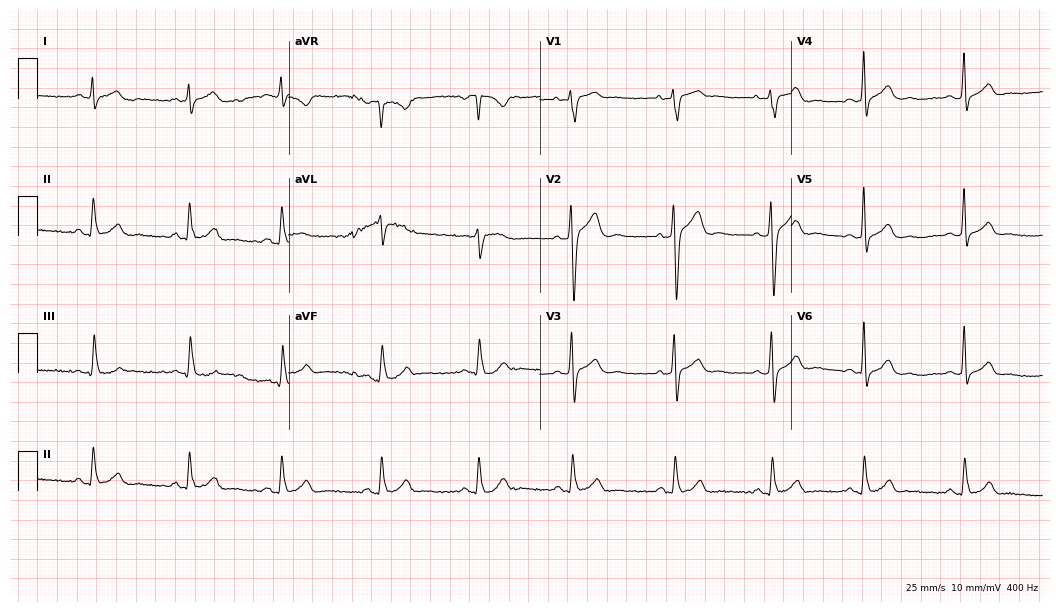
Resting 12-lead electrocardiogram. Patient: a 28-year-old male. None of these six findings is recorded: first-degree AV block, right bundle branch block, left bundle branch block, sinus bradycardia, atrial fibrillation, sinus tachycardia. Only these six findings were labelled.